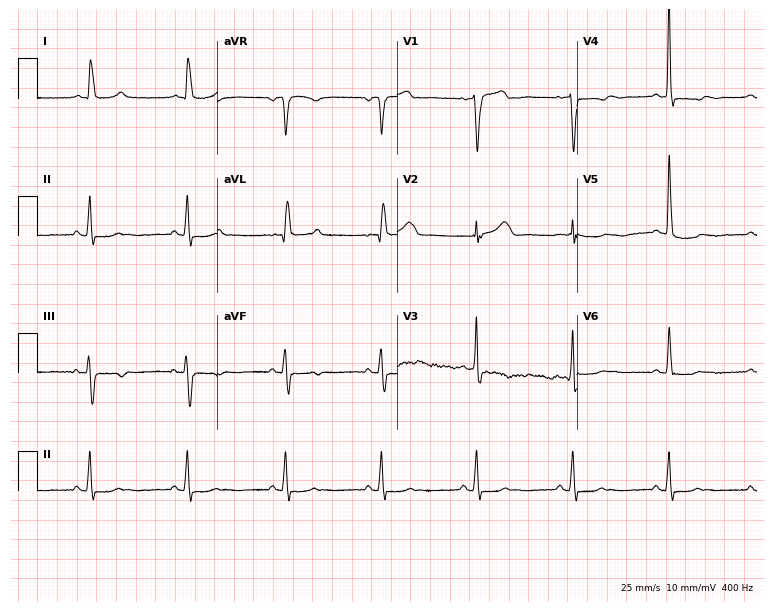
12-lead ECG from a female patient, 76 years old. Screened for six findings — first-degree AV block, right bundle branch block, left bundle branch block, sinus bradycardia, atrial fibrillation, sinus tachycardia — none is recorded. Other findings, if any, are not listed.